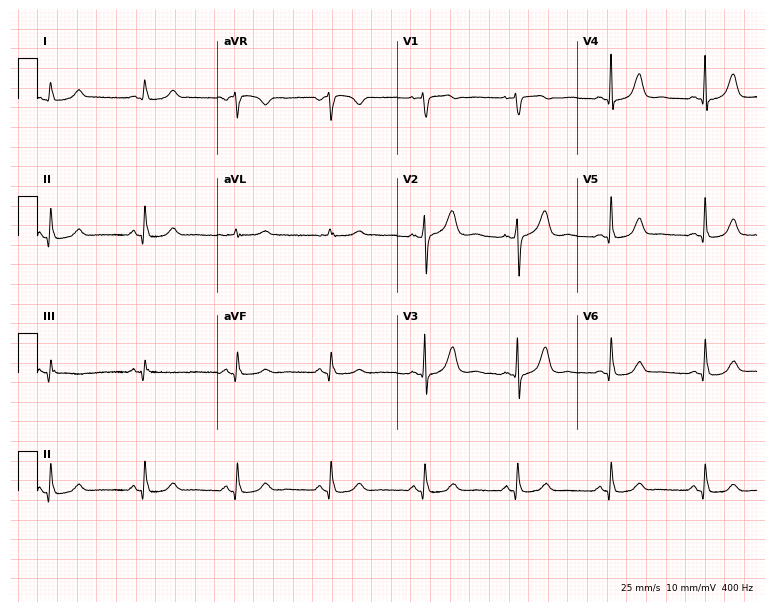
12-lead ECG from a female, 48 years old. Recorded interpretation: within normal limits.